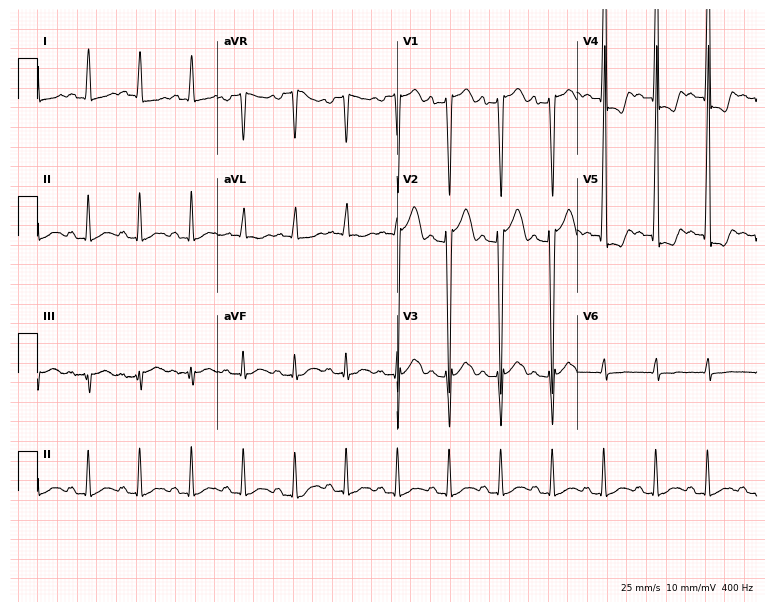
ECG (7.3-second recording at 400 Hz) — a 31-year-old male patient. Findings include sinus tachycardia (a sinus rate of 100 beats per minute or more).